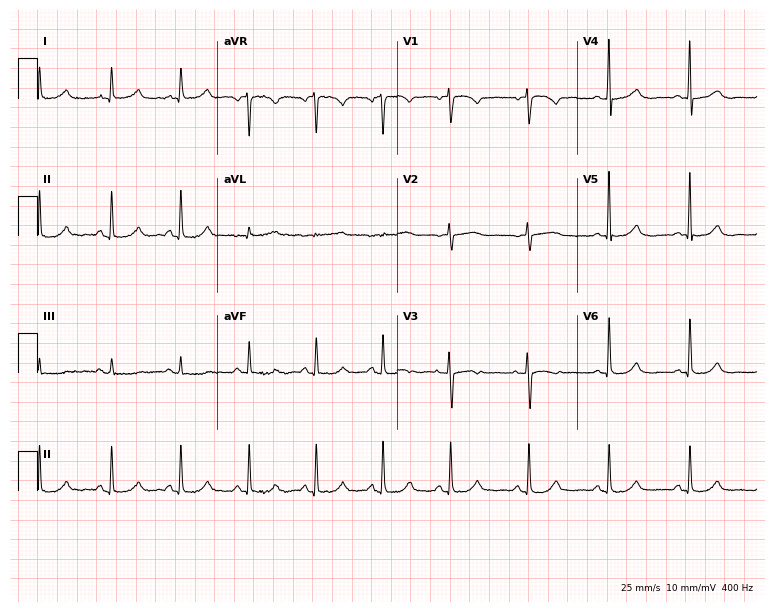
Resting 12-lead electrocardiogram (7.3-second recording at 400 Hz). Patient: a woman, 67 years old. Read as a normal ECG.